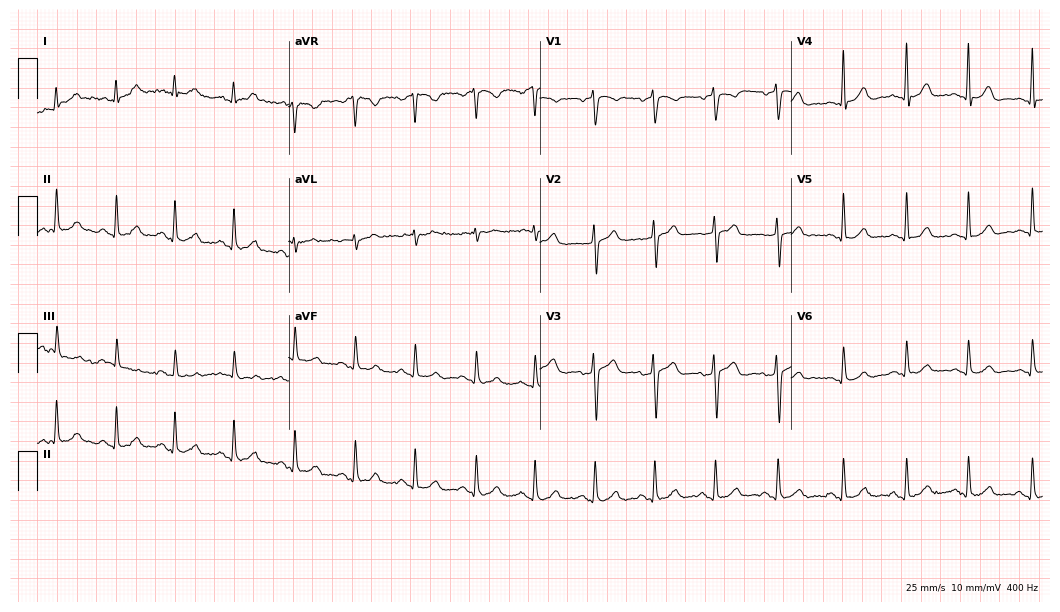
Standard 12-lead ECG recorded from a male, 49 years old. Read as a normal ECG.